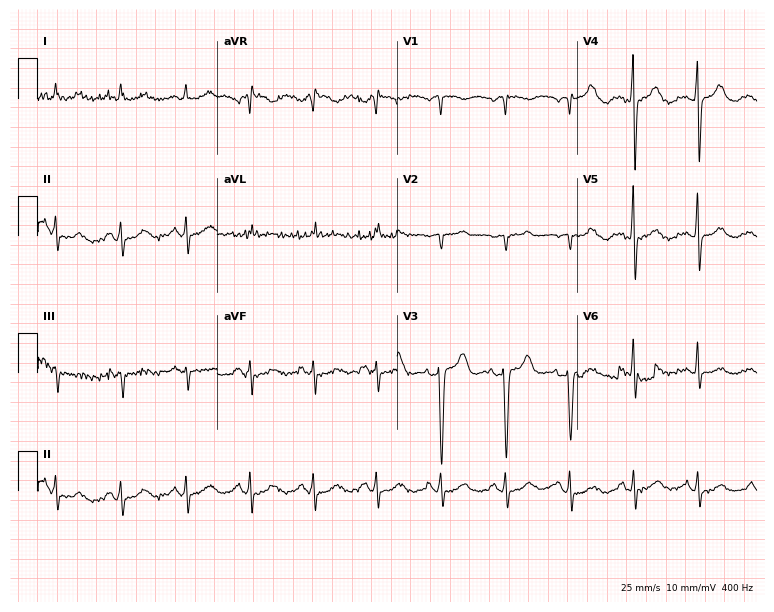
Electrocardiogram, a female, 58 years old. Of the six screened findings (first-degree AV block, right bundle branch block (RBBB), left bundle branch block (LBBB), sinus bradycardia, atrial fibrillation (AF), sinus tachycardia), none is recorded. Other findings, if any, are not listed.